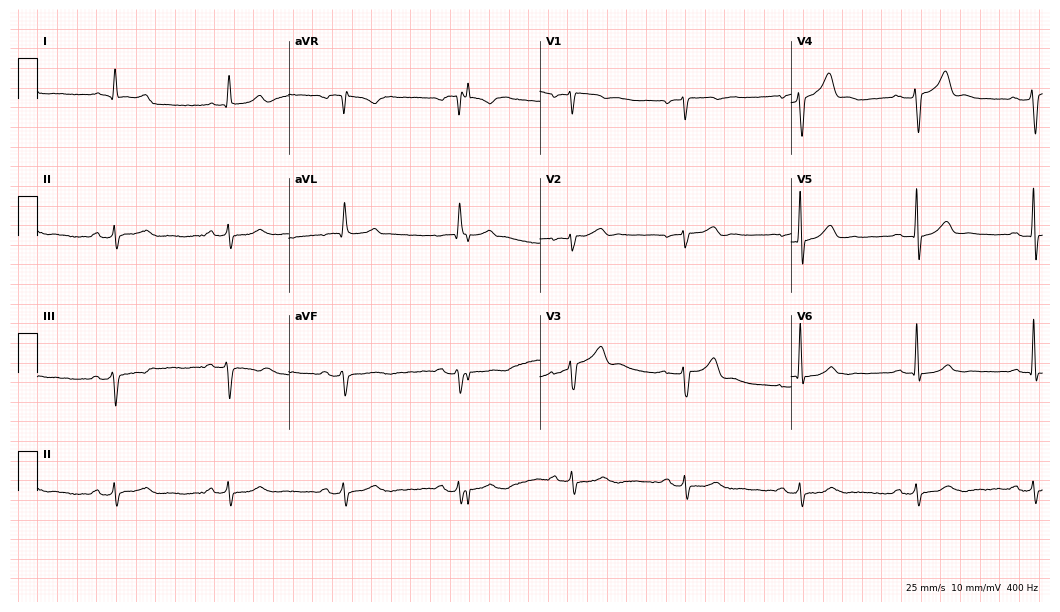
Electrocardiogram, a 69-year-old male patient. Of the six screened findings (first-degree AV block, right bundle branch block, left bundle branch block, sinus bradycardia, atrial fibrillation, sinus tachycardia), none is recorded.